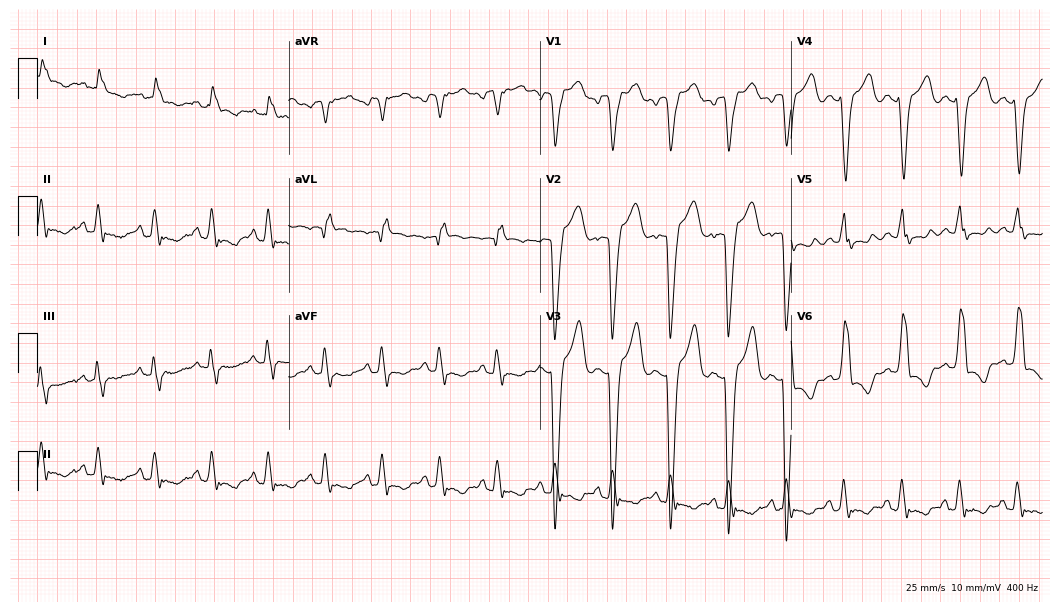
Standard 12-lead ECG recorded from a 64-year-old female. The tracing shows left bundle branch block, sinus tachycardia (a sinus rate of 100 beats per minute or more).